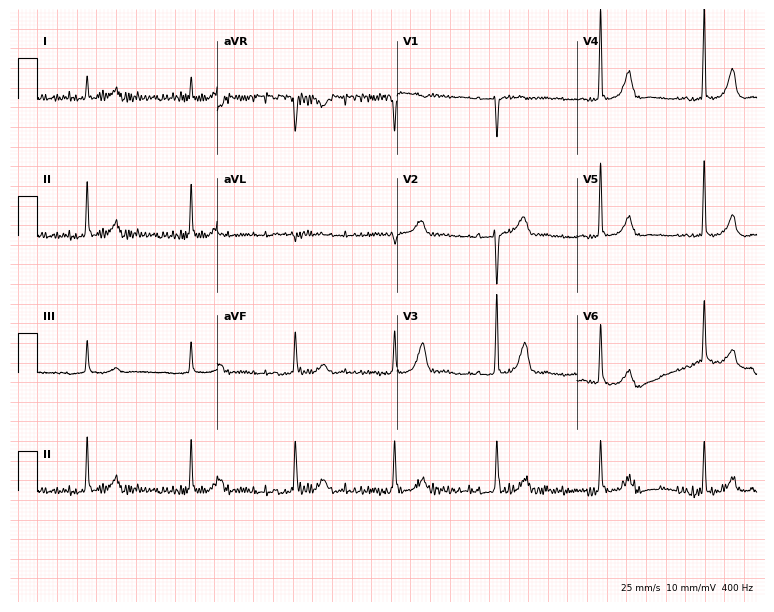
Resting 12-lead electrocardiogram (7.3-second recording at 400 Hz). Patient: a female, 67 years old. None of these six findings is recorded: first-degree AV block, right bundle branch block, left bundle branch block, sinus bradycardia, atrial fibrillation, sinus tachycardia. Only these six findings were labelled.